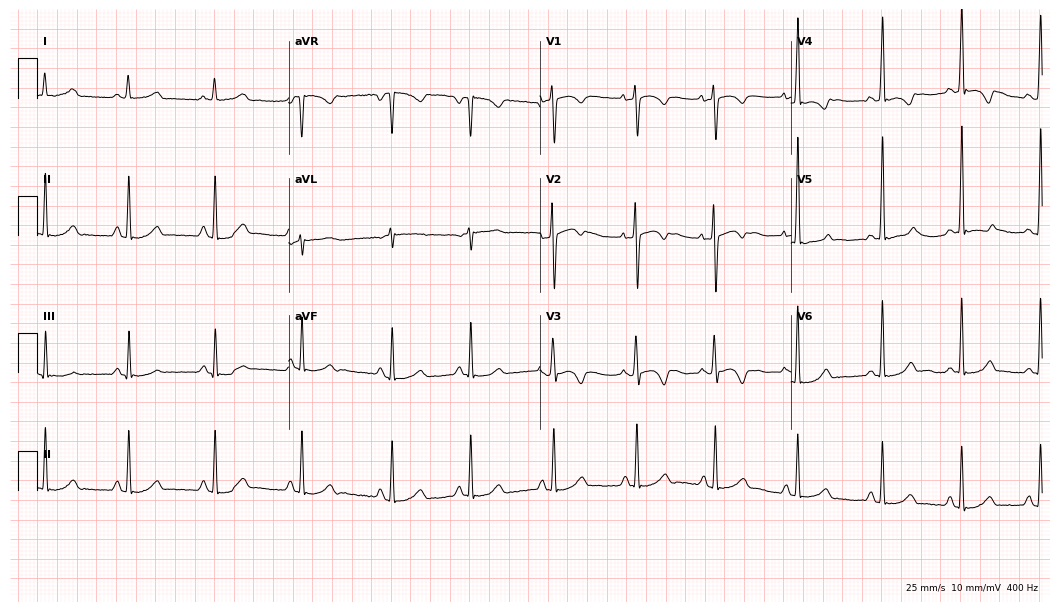
Electrocardiogram, a 44-year-old female. Of the six screened findings (first-degree AV block, right bundle branch block, left bundle branch block, sinus bradycardia, atrial fibrillation, sinus tachycardia), none is recorded.